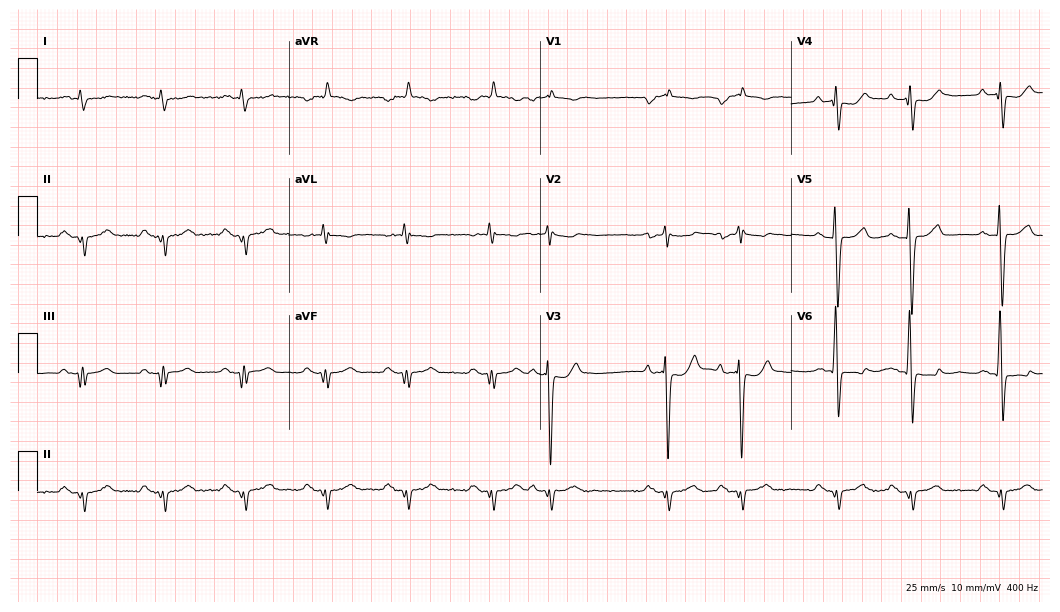
Resting 12-lead electrocardiogram (10.2-second recording at 400 Hz). Patient: a male, 40 years old. None of these six findings is recorded: first-degree AV block, right bundle branch block (RBBB), left bundle branch block (LBBB), sinus bradycardia, atrial fibrillation (AF), sinus tachycardia.